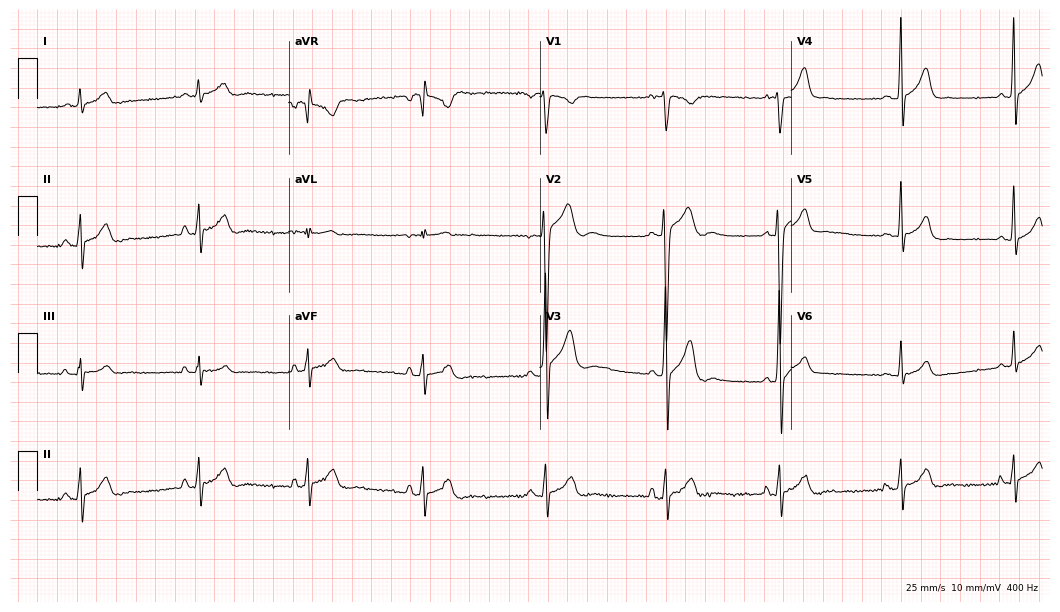
Electrocardiogram (10.2-second recording at 400 Hz), an 18-year-old man. Of the six screened findings (first-degree AV block, right bundle branch block (RBBB), left bundle branch block (LBBB), sinus bradycardia, atrial fibrillation (AF), sinus tachycardia), none is recorded.